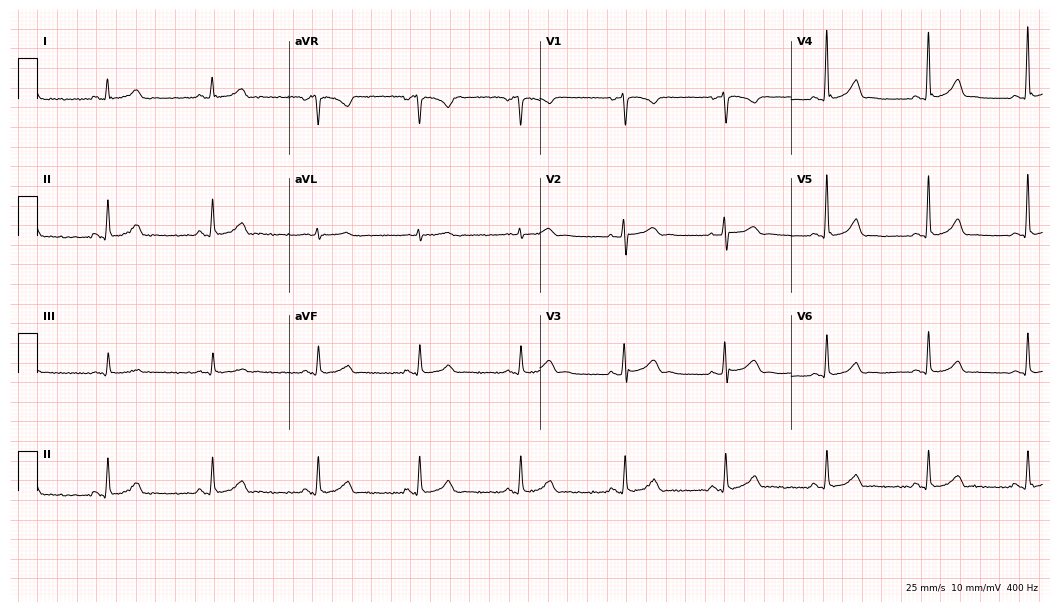
12-lead ECG from a 44-year-old woman. Labelled as a normal ECG.